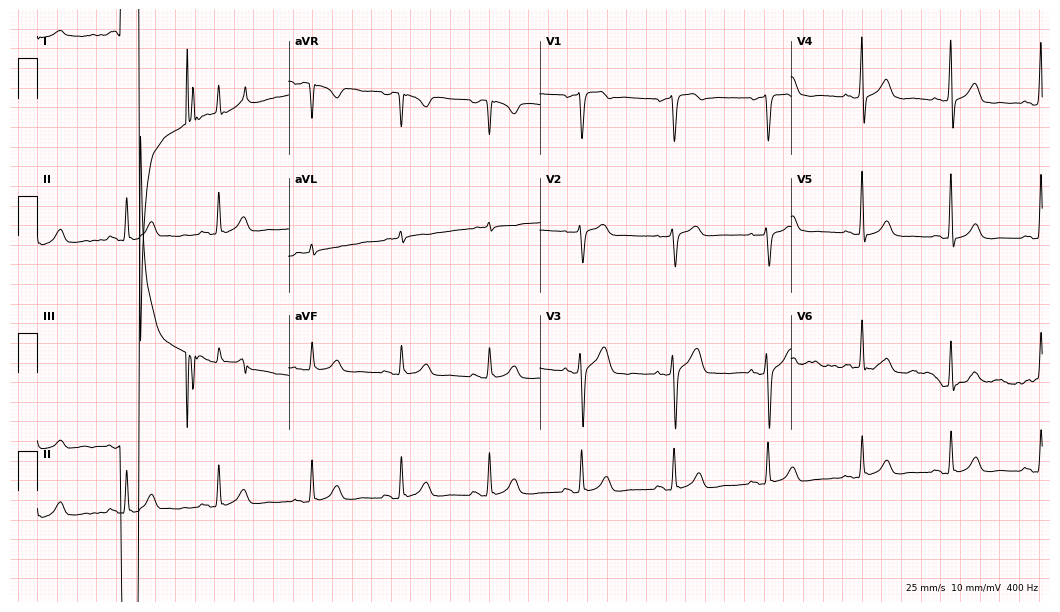
Standard 12-lead ECG recorded from a man, 50 years old (10.2-second recording at 400 Hz). Read as a normal ECG.